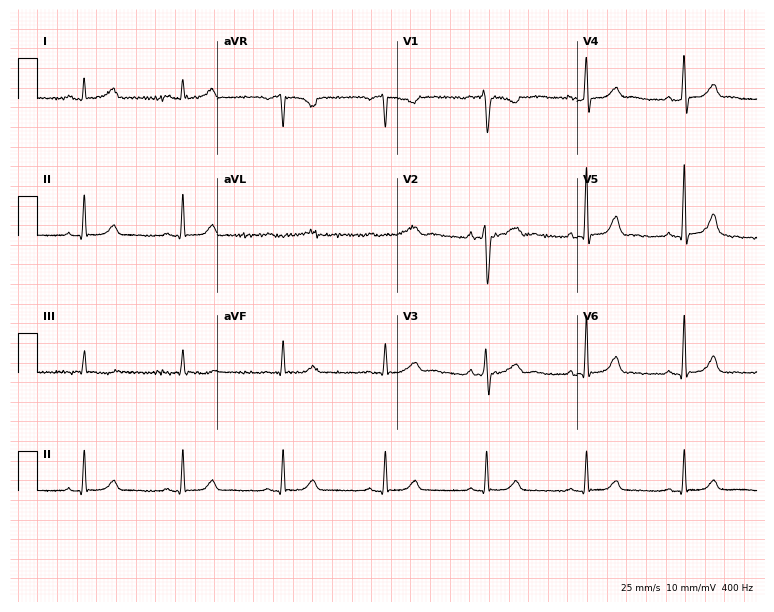
Resting 12-lead electrocardiogram. Patient: a male, 45 years old. Read as a normal ECG.